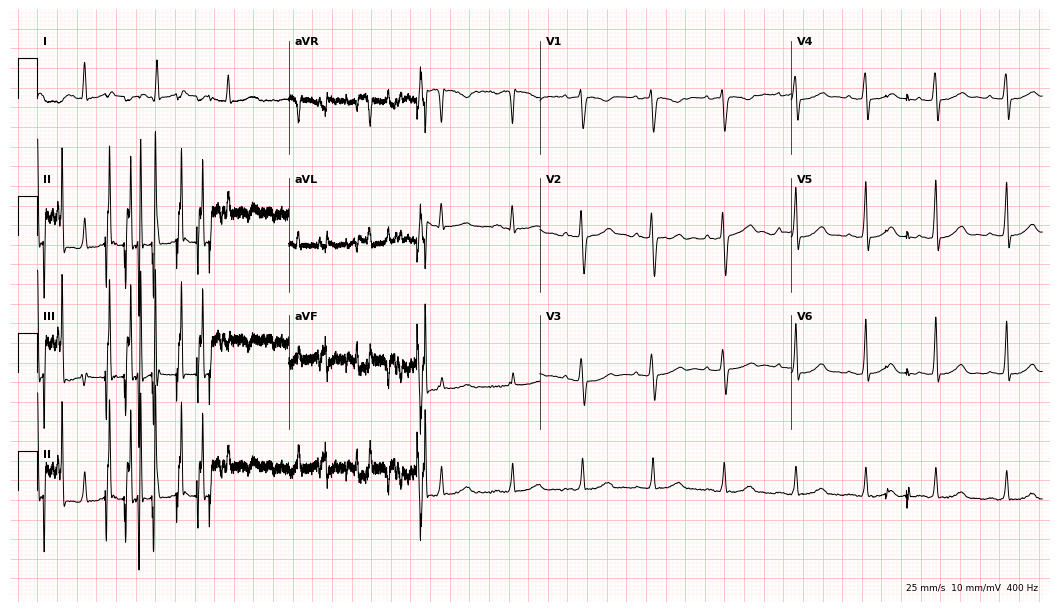
Electrocardiogram, a 44-year-old female. Of the six screened findings (first-degree AV block, right bundle branch block, left bundle branch block, sinus bradycardia, atrial fibrillation, sinus tachycardia), none is recorded.